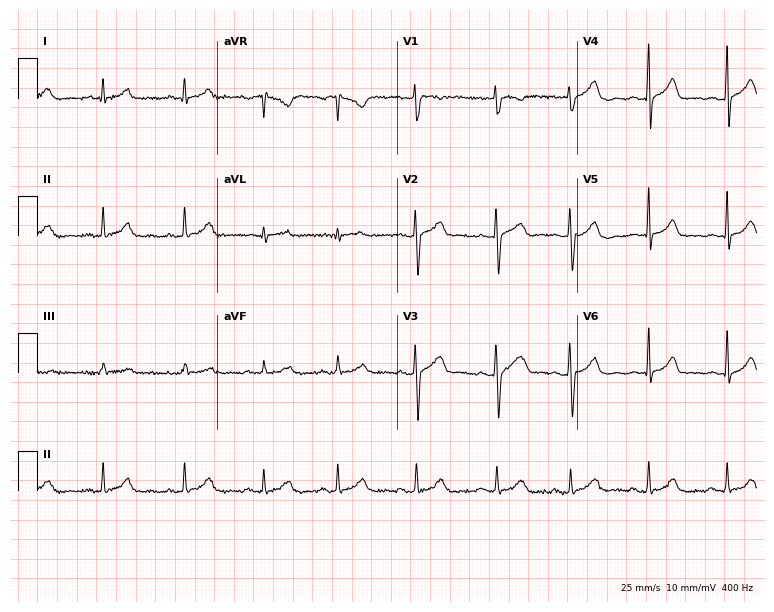
ECG — a 32-year-old female. Labelled as a normal ECG.